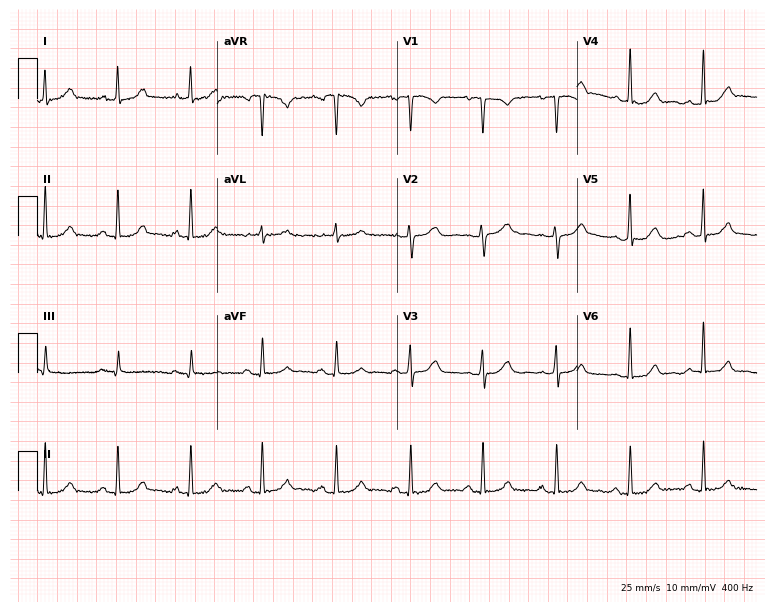
Resting 12-lead electrocardiogram (7.3-second recording at 400 Hz). Patient: a female, 39 years old. None of these six findings is recorded: first-degree AV block, right bundle branch block, left bundle branch block, sinus bradycardia, atrial fibrillation, sinus tachycardia.